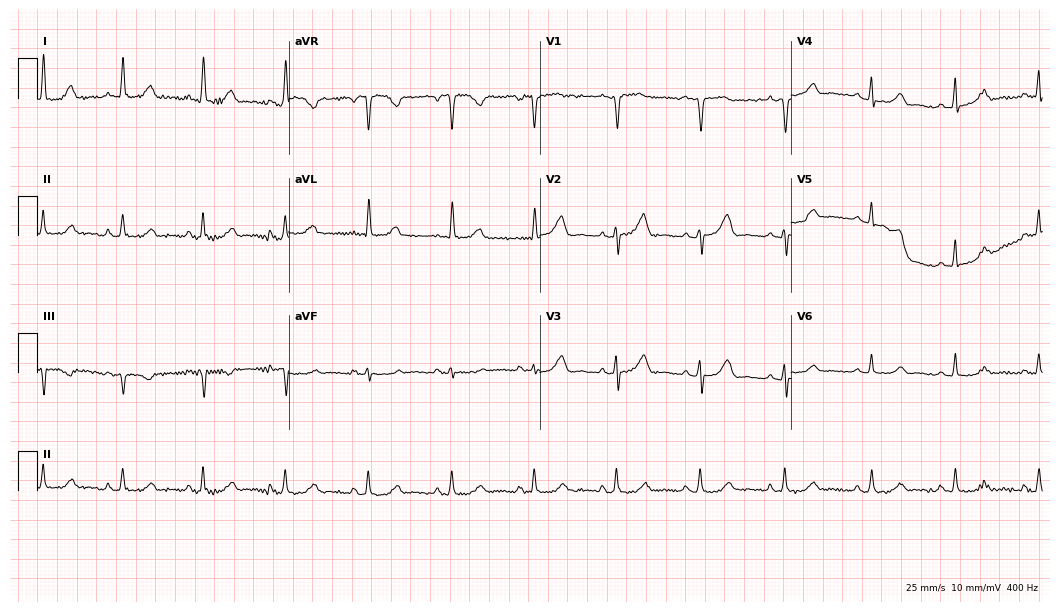
Standard 12-lead ECG recorded from a 58-year-old female patient (10.2-second recording at 400 Hz). Read as a normal ECG.